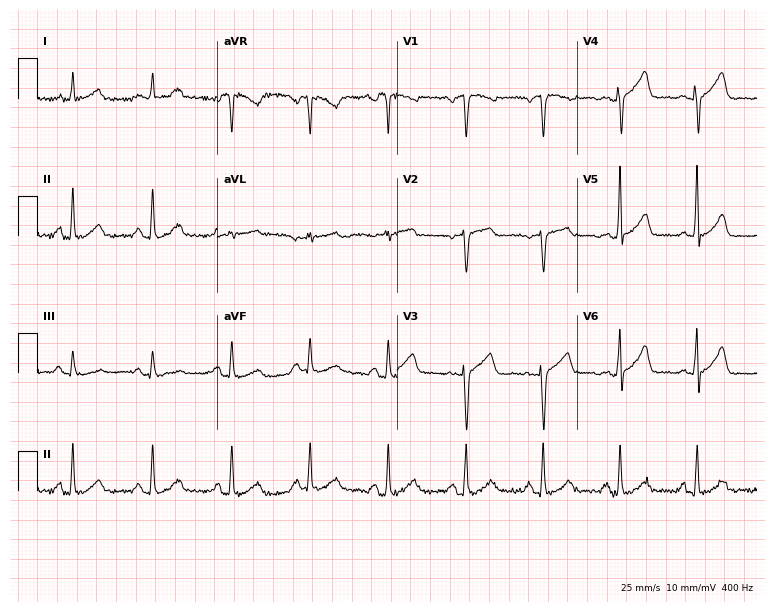
Standard 12-lead ECG recorded from a 58-year-old woman. Read as a normal ECG.